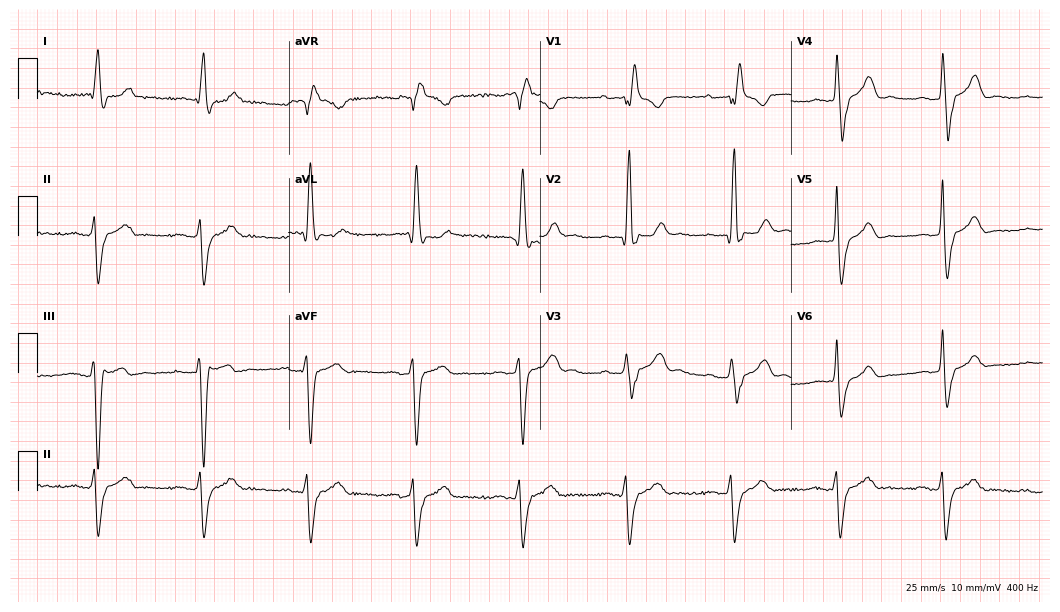
ECG (10.2-second recording at 400 Hz) — a male patient, 86 years old. Findings include right bundle branch block (RBBB).